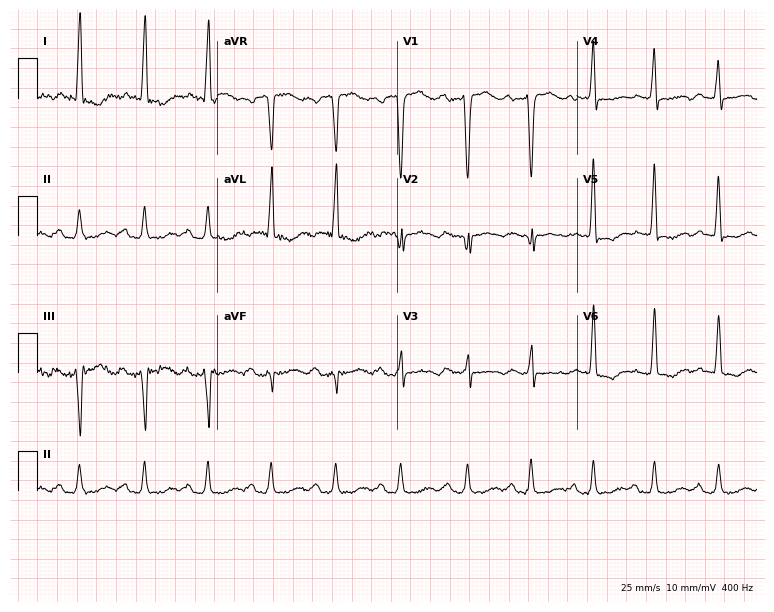
12-lead ECG from a 58-year-old female patient. Shows first-degree AV block.